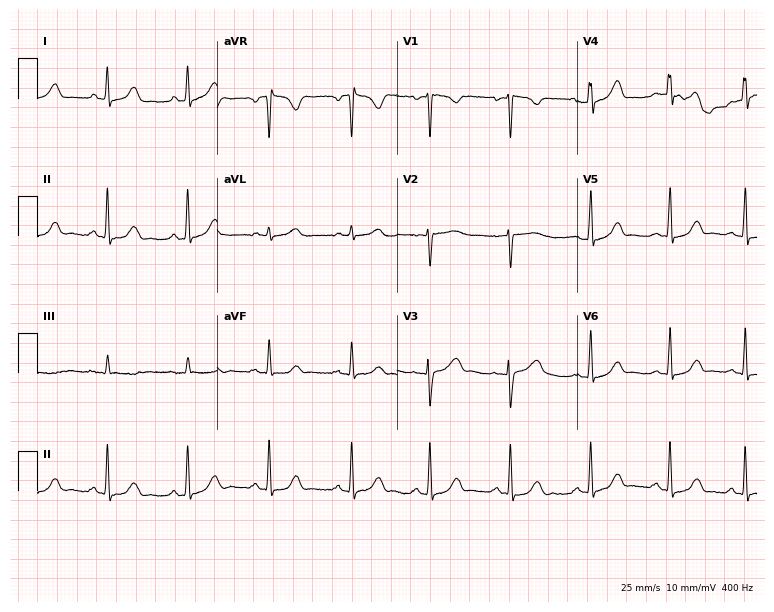
12-lead ECG (7.3-second recording at 400 Hz) from a 31-year-old woman. Labelled as a normal ECG.